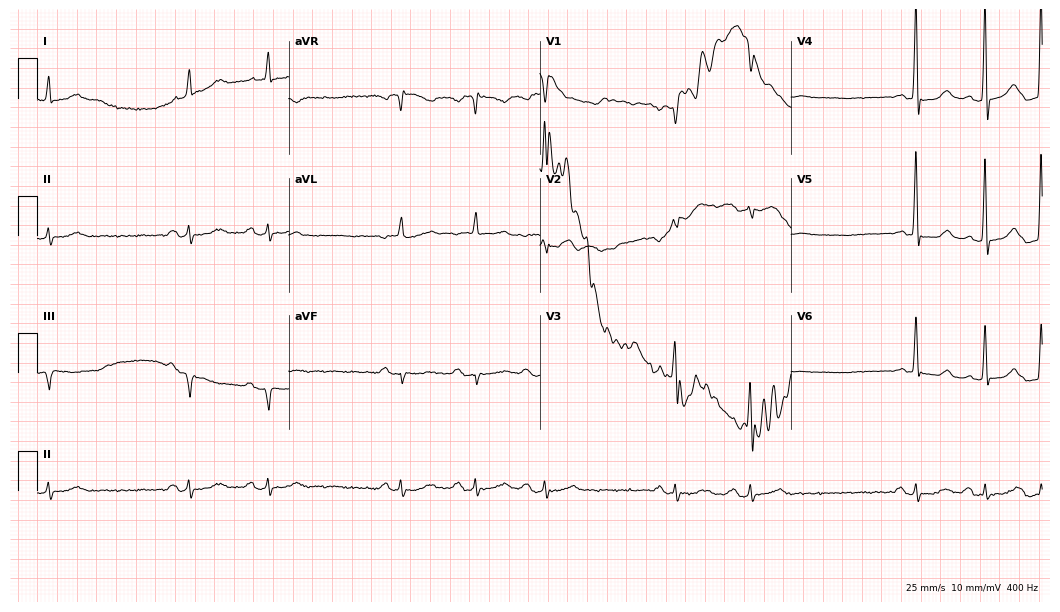
Resting 12-lead electrocardiogram. Patient: a man, 76 years old. None of these six findings is recorded: first-degree AV block, right bundle branch block, left bundle branch block, sinus bradycardia, atrial fibrillation, sinus tachycardia.